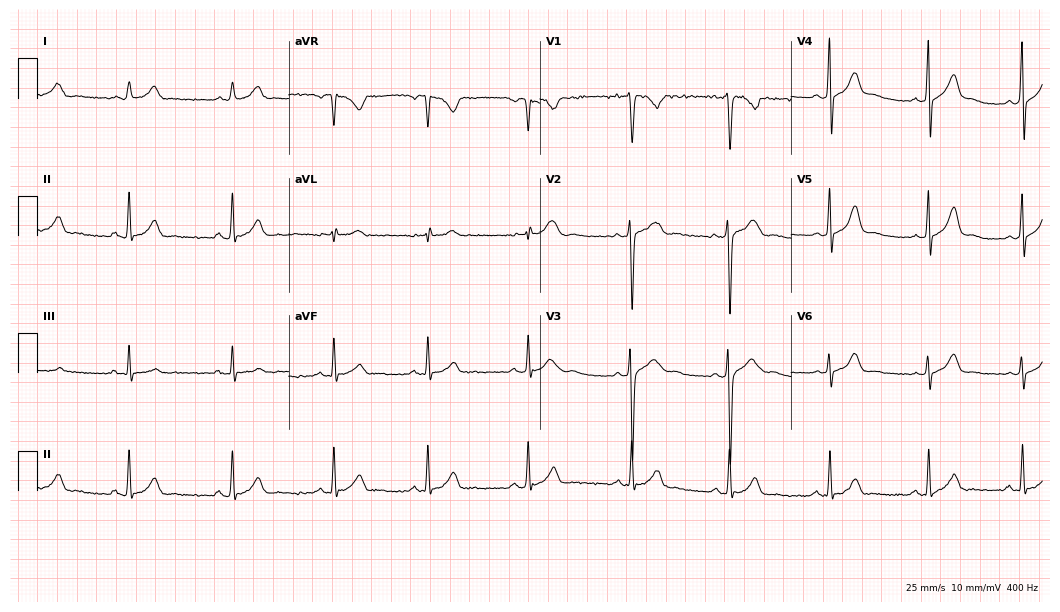
Electrocardiogram (10.2-second recording at 400 Hz), a male patient, 19 years old. Overall reading on record: normal ECG.